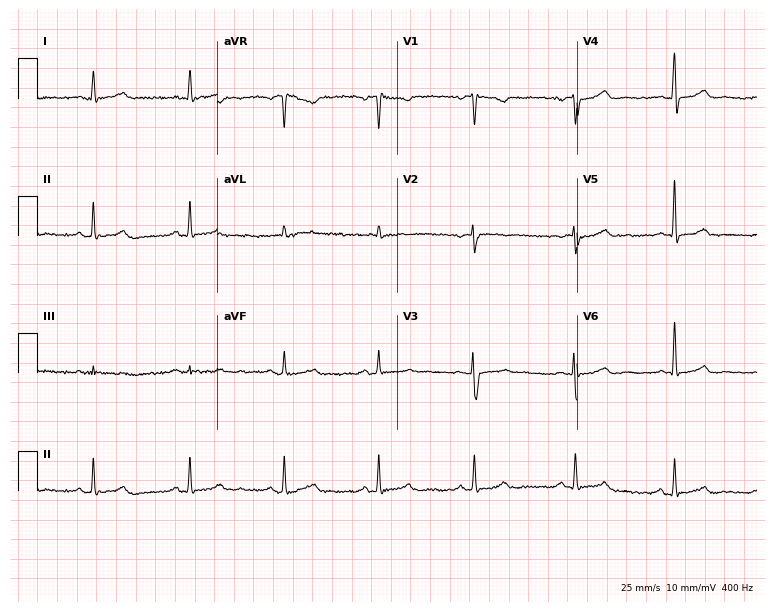
Standard 12-lead ECG recorded from a 58-year-old female patient. Read as a normal ECG.